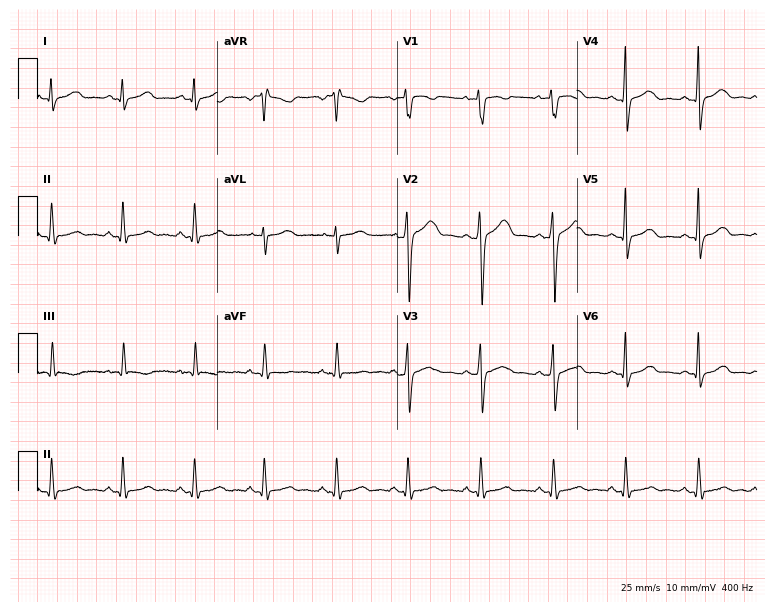
12-lead ECG from a 31-year-old female patient (7.3-second recording at 400 Hz). Recorded interpretation: within normal limits.